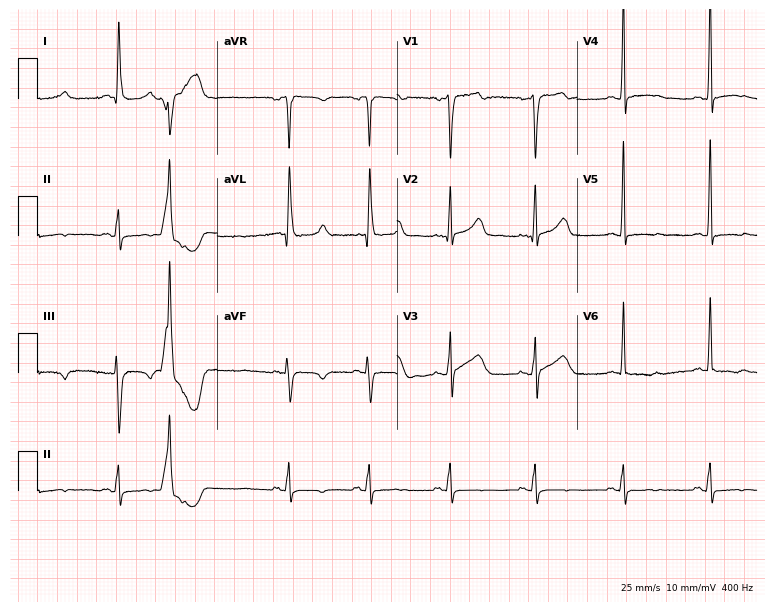
Electrocardiogram (7.3-second recording at 400 Hz), a 53-year-old male. Of the six screened findings (first-degree AV block, right bundle branch block, left bundle branch block, sinus bradycardia, atrial fibrillation, sinus tachycardia), none is recorded.